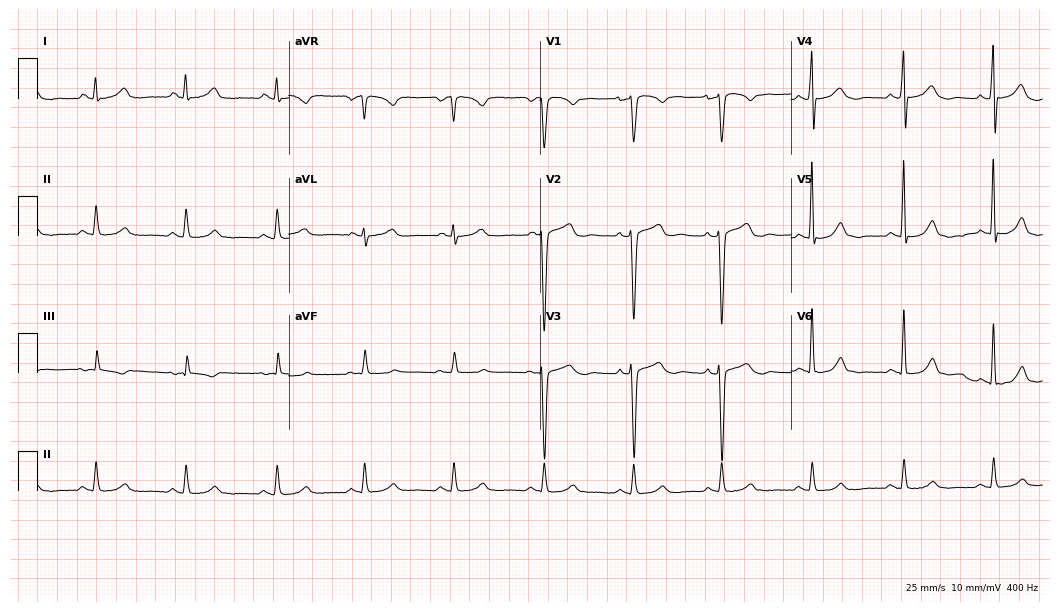
ECG — a man, 34 years old. Labelled as a normal ECG.